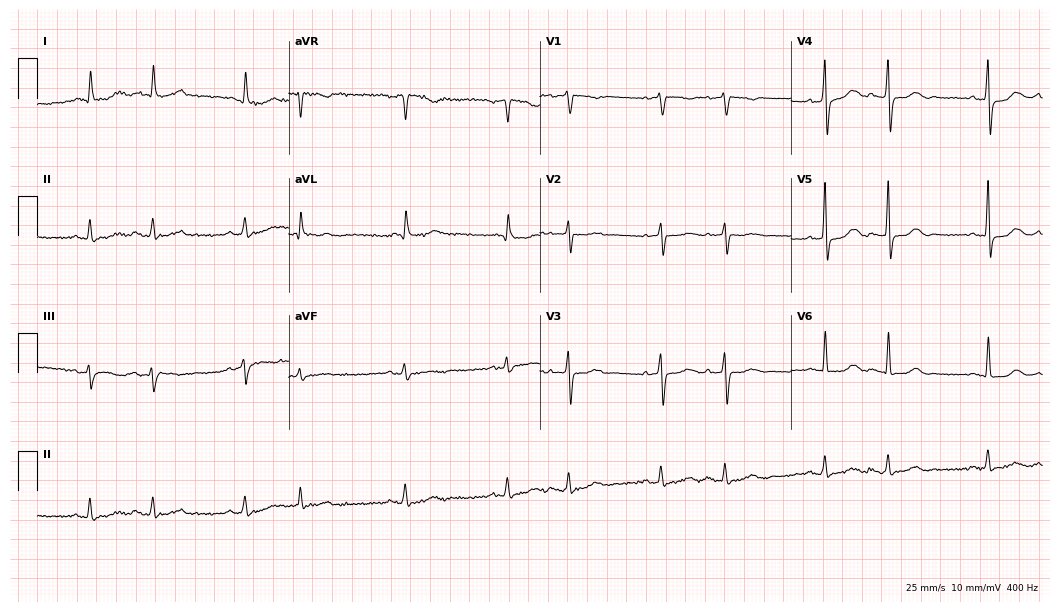
ECG (10.2-second recording at 400 Hz) — an 82-year-old woman. Screened for six findings — first-degree AV block, right bundle branch block (RBBB), left bundle branch block (LBBB), sinus bradycardia, atrial fibrillation (AF), sinus tachycardia — none is recorded.